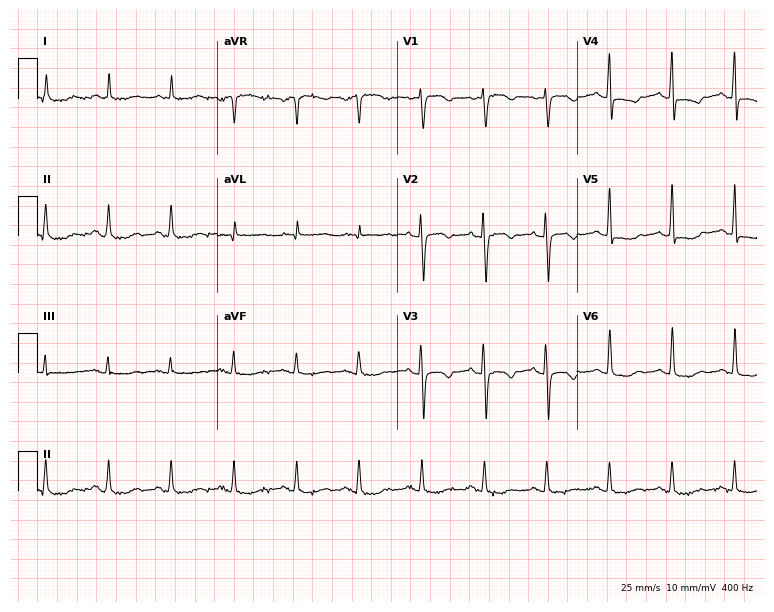
Standard 12-lead ECG recorded from a female, 70 years old. None of these six findings is recorded: first-degree AV block, right bundle branch block (RBBB), left bundle branch block (LBBB), sinus bradycardia, atrial fibrillation (AF), sinus tachycardia. Findings outside these six are not listed.